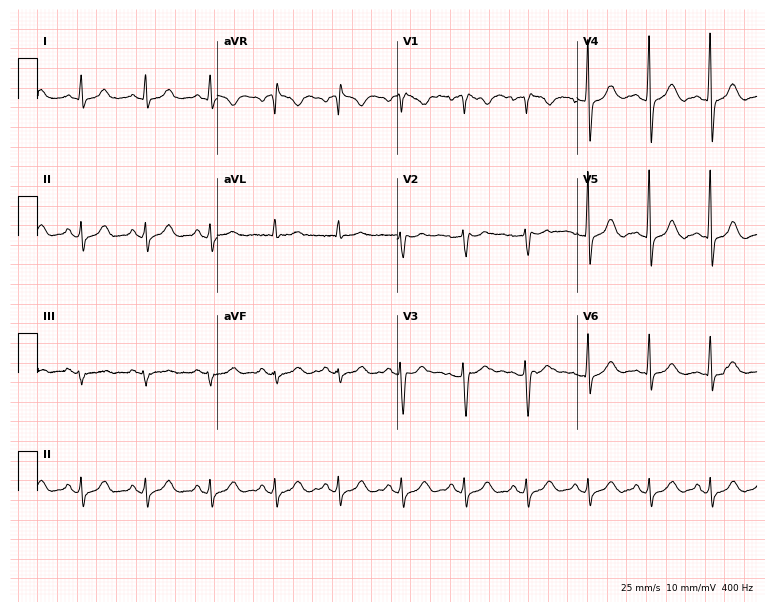
12-lead ECG (7.3-second recording at 400 Hz) from a female patient, 48 years old. Labelled as a normal ECG.